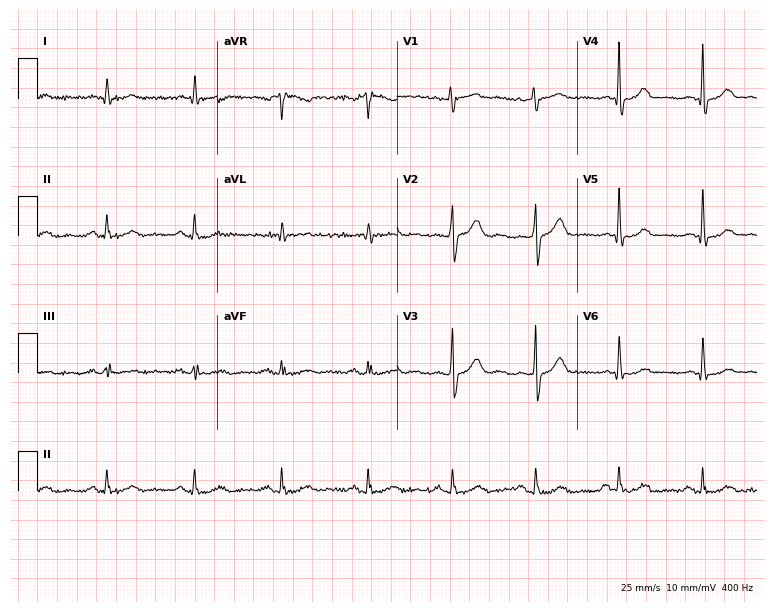
ECG — a 61-year-old man. Labelled as a normal ECG.